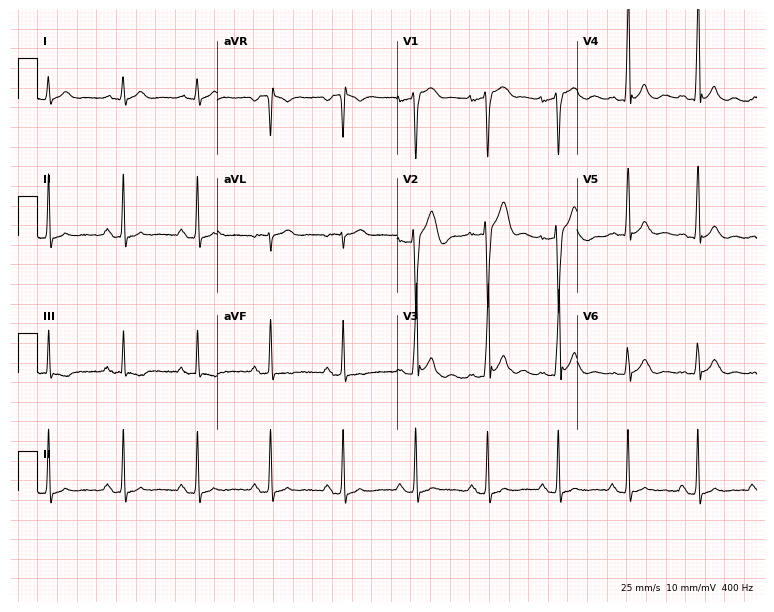
Electrocardiogram, a 39-year-old male. Of the six screened findings (first-degree AV block, right bundle branch block, left bundle branch block, sinus bradycardia, atrial fibrillation, sinus tachycardia), none is recorded. Findings outside these six are not listed.